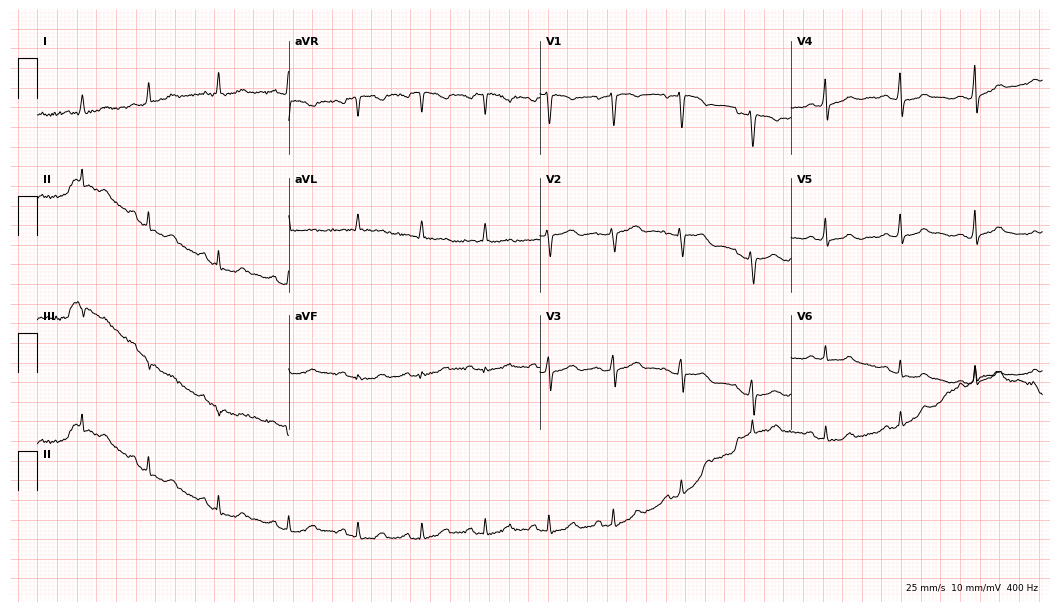
Resting 12-lead electrocardiogram (10.2-second recording at 400 Hz). Patient: a 48-year-old woman. None of these six findings is recorded: first-degree AV block, right bundle branch block (RBBB), left bundle branch block (LBBB), sinus bradycardia, atrial fibrillation (AF), sinus tachycardia.